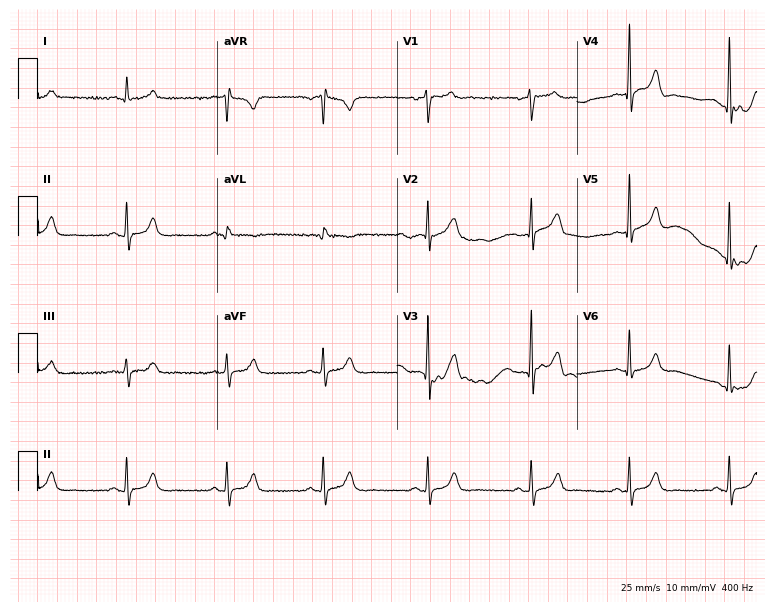
Standard 12-lead ECG recorded from a male, 50 years old (7.3-second recording at 400 Hz). None of these six findings is recorded: first-degree AV block, right bundle branch block, left bundle branch block, sinus bradycardia, atrial fibrillation, sinus tachycardia.